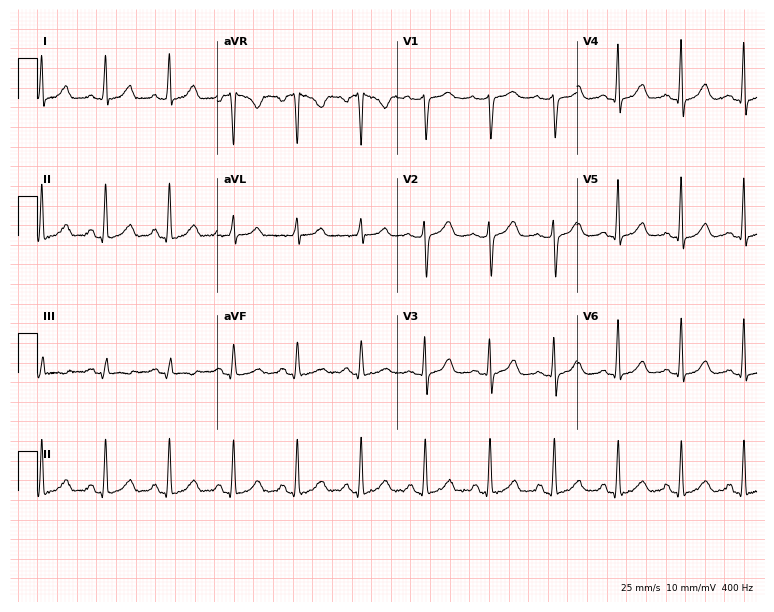
Electrocardiogram, a 33-year-old female patient. Of the six screened findings (first-degree AV block, right bundle branch block (RBBB), left bundle branch block (LBBB), sinus bradycardia, atrial fibrillation (AF), sinus tachycardia), none is recorded.